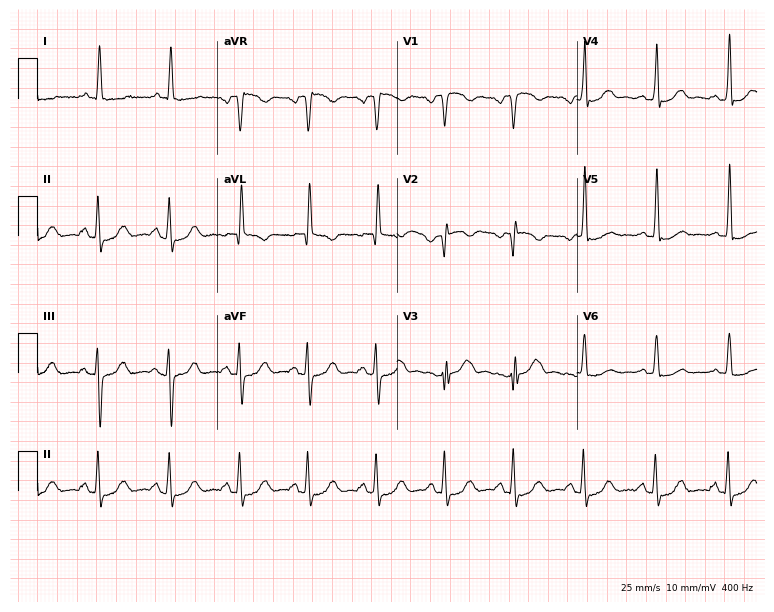
12-lead ECG from a 70-year-old man. Screened for six findings — first-degree AV block, right bundle branch block (RBBB), left bundle branch block (LBBB), sinus bradycardia, atrial fibrillation (AF), sinus tachycardia — none is recorded. Findings outside these six are not listed.